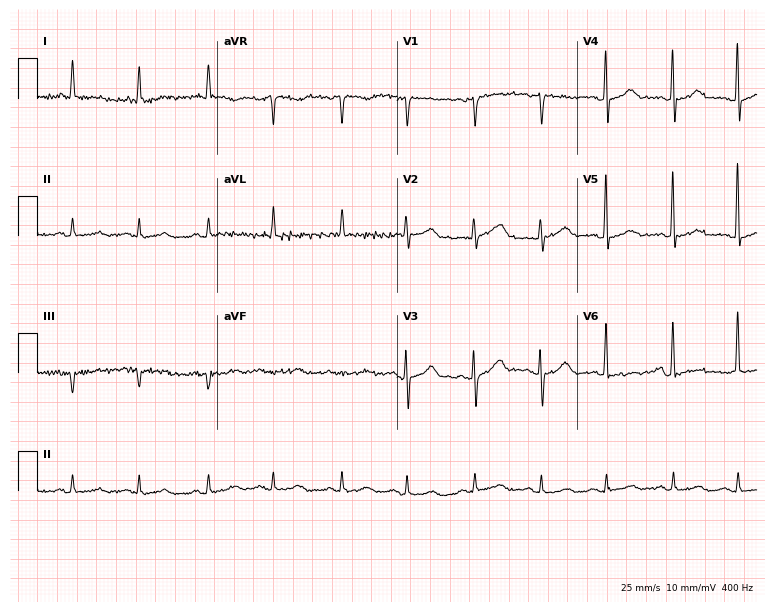
ECG — a 79-year-old female patient. Labelled as a normal ECG.